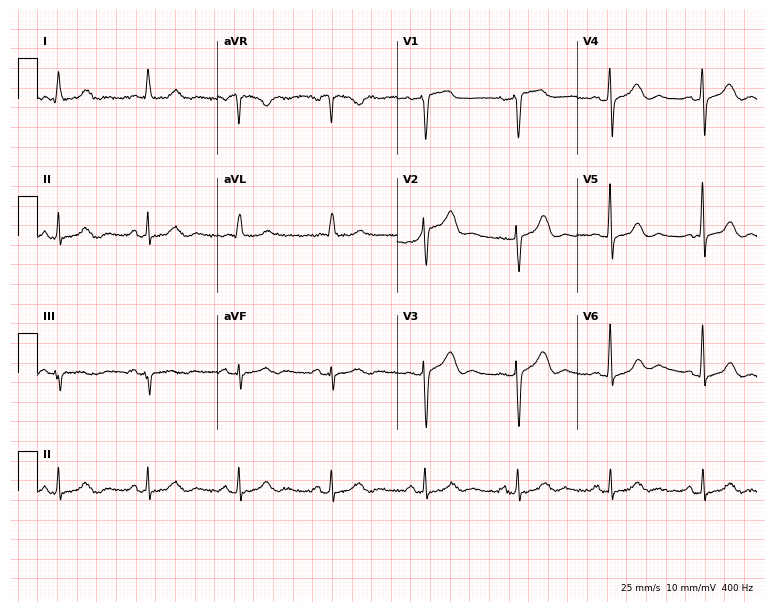
Standard 12-lead ECG recorded from a 60-year-old female. None of these six findings is recorded: first-degree AV block, right bundle branch block (RBBB), left bundle branch block (LBBB), sinus bradycardia, atrial fibrillation (AF), sinus tachycardia. Only these six findings were labelled.